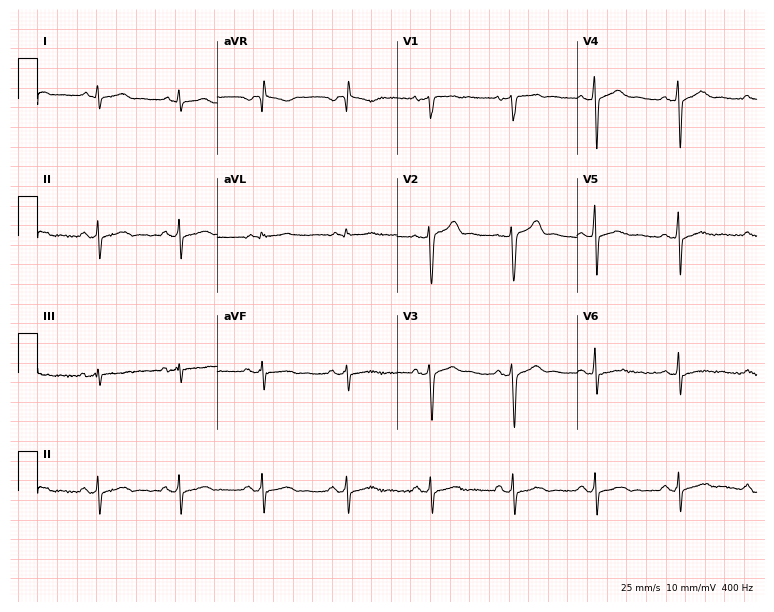
Standard 12-lead ECG recorded from a man, 43 years old. Read as a normal ECG.